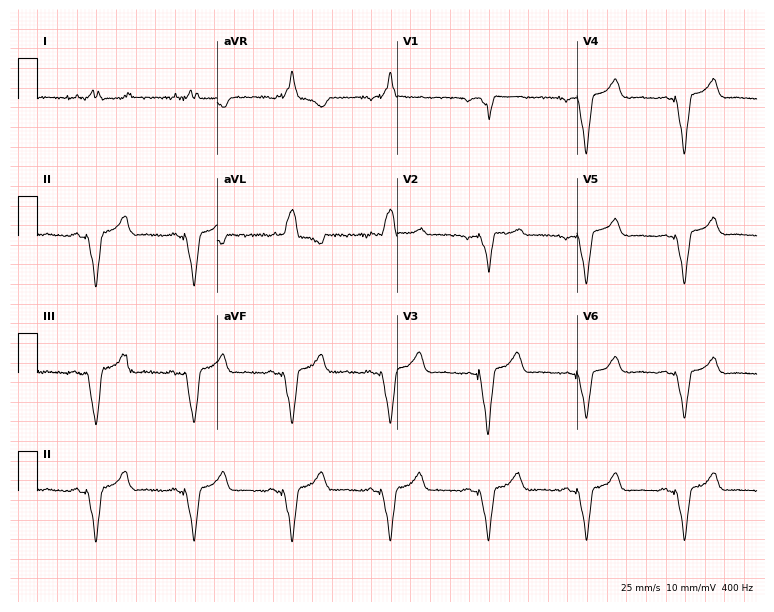
12-lead ECG from a 45-year-old woman (7.3-second recording at 400 Hz). No first-degree AV block, right bundle branch block, left bundle branch block, sinus bradycardia, atrial fibrillation or sinus tachycardia recorded for this tracing. Findings outside these six are not listed.